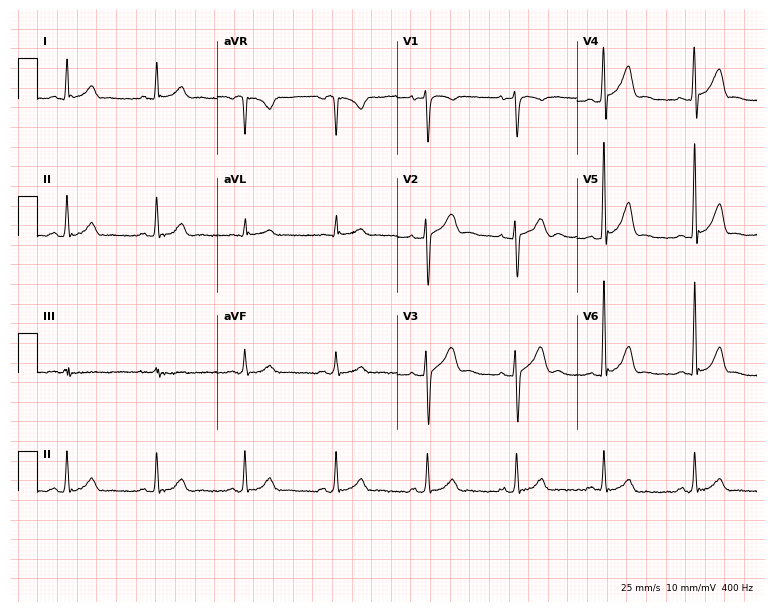
Resting 12-lead electrocardiogram (7.3-second recording at 400 Hz). Patient: a 41-year-old male. None of these six findings is recorded: first-degree AV block, right bundle branch block, left bundle branch block, sinus bradycardia, atrial fibrillation, sinus tachycardia. Other findings, if any, are not listed.